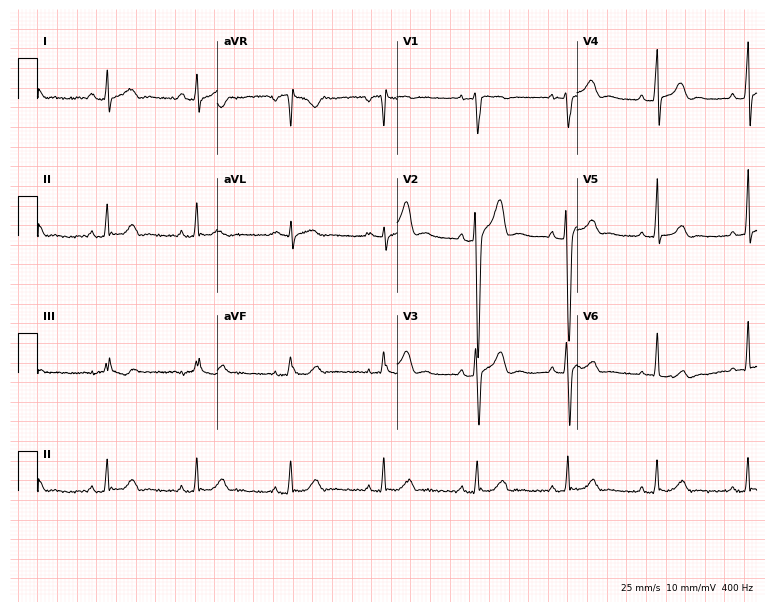
12-lead ECG from a 27-year-old man. Labelled as a normal ECG.